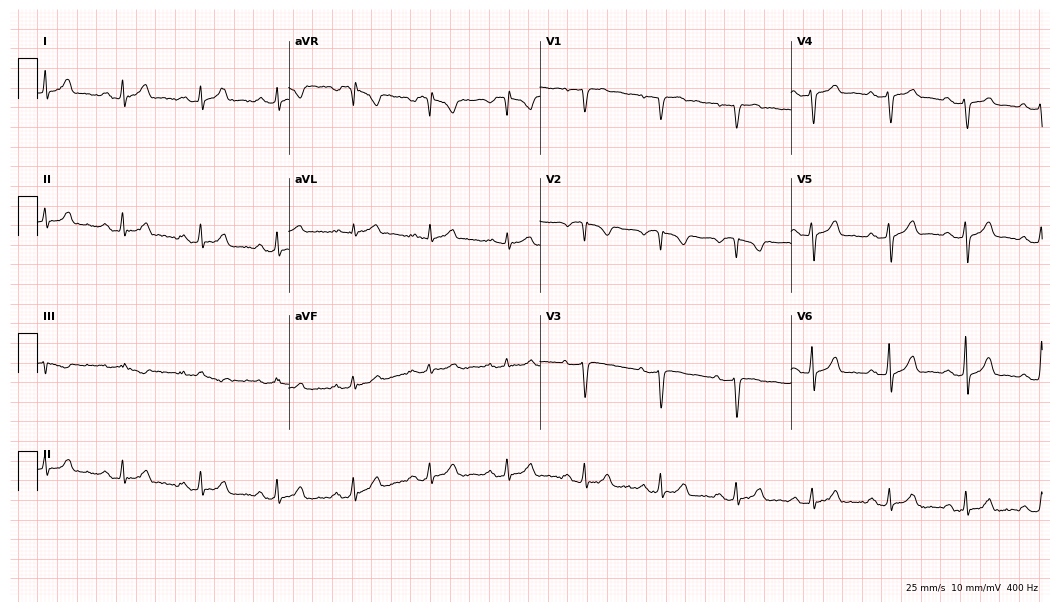
Standard 12-lead ECG recorded from a male patient, 58 years old (10.2-second recording at 400 Hz). Read as a normal ECG.